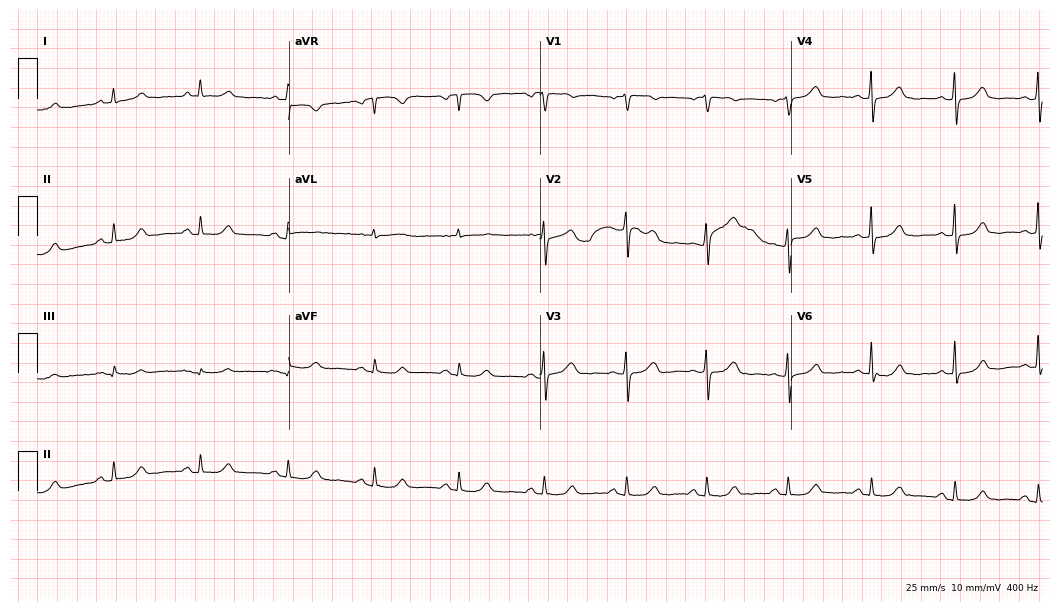
Resting 12-lead electrocardiogram. Patient: a 70-year-old female. Read as a normal ECG.